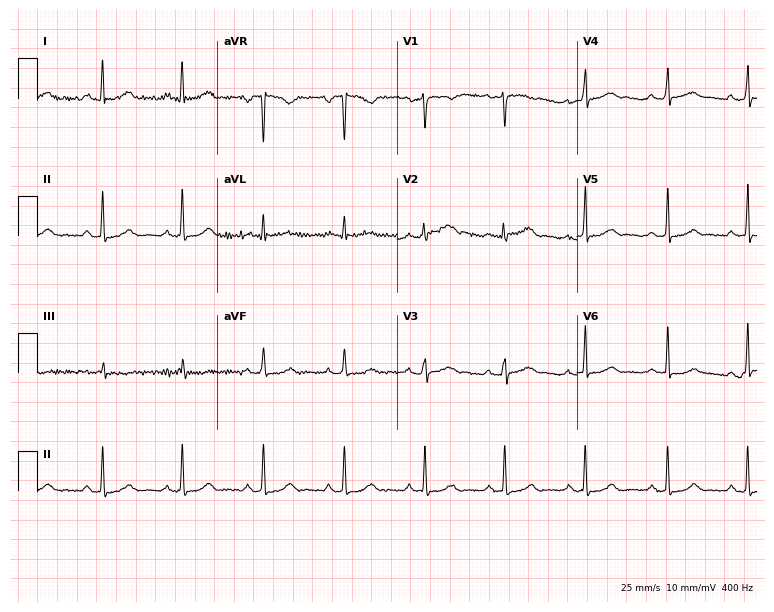
12-lead ECG from a 44-year-old female patient. Labelled as a normal ECG.